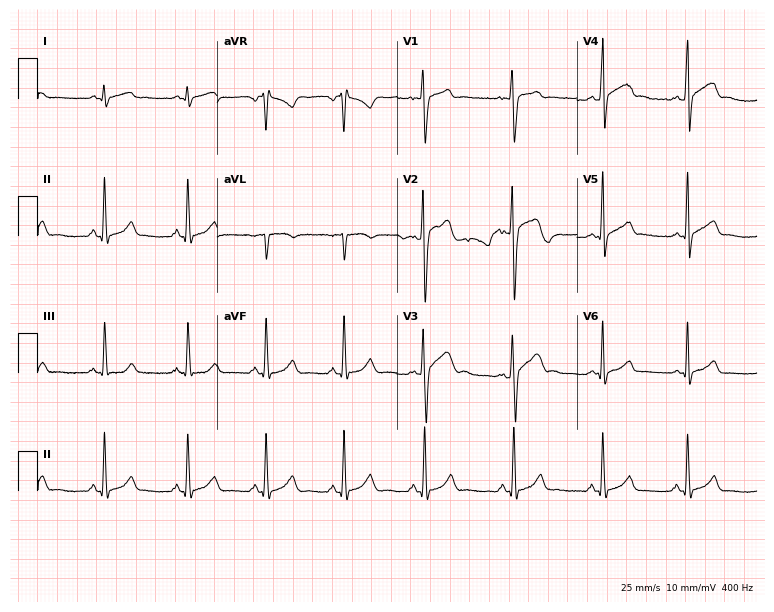
Resting 12-lead electrocardiogram. Patient: a 19-year-old male. Read as a normal ECG.